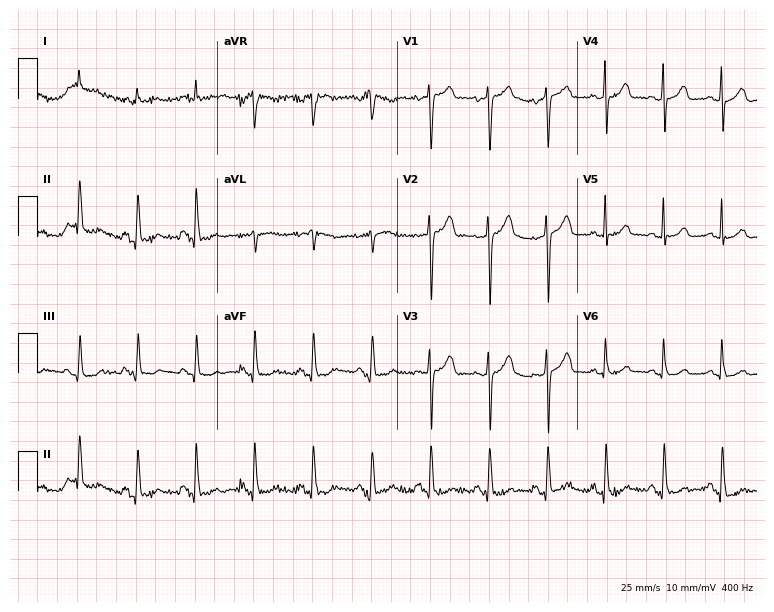
Resting 12-lead electrocardiogram (7.3-second recording at 400 Hz). Patient: an 85-year-old female. The tracing shows sinus tachycardia (a sinus rate of 100 beats per minute or more).